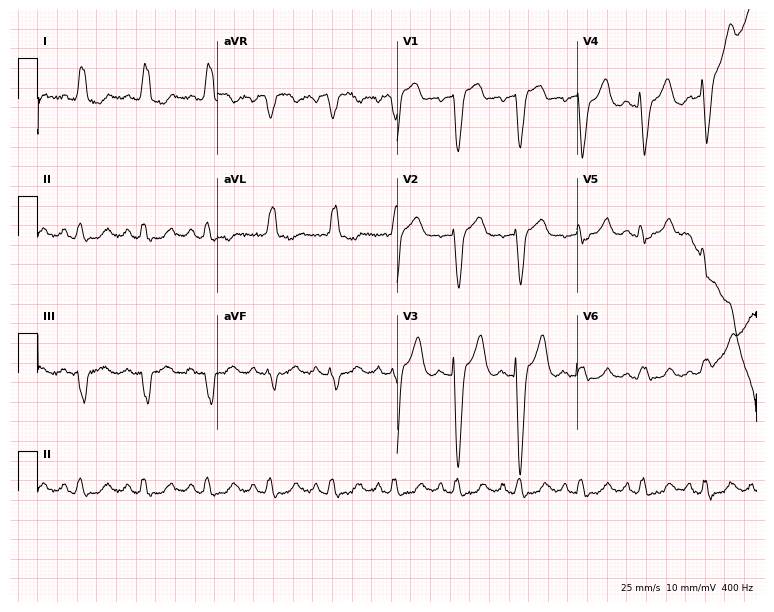
Standard 12-lead ECG recorded from a 59-year-old female patient (7.3-second recording at 400 Hz). The tracing shows left bundle branch block.